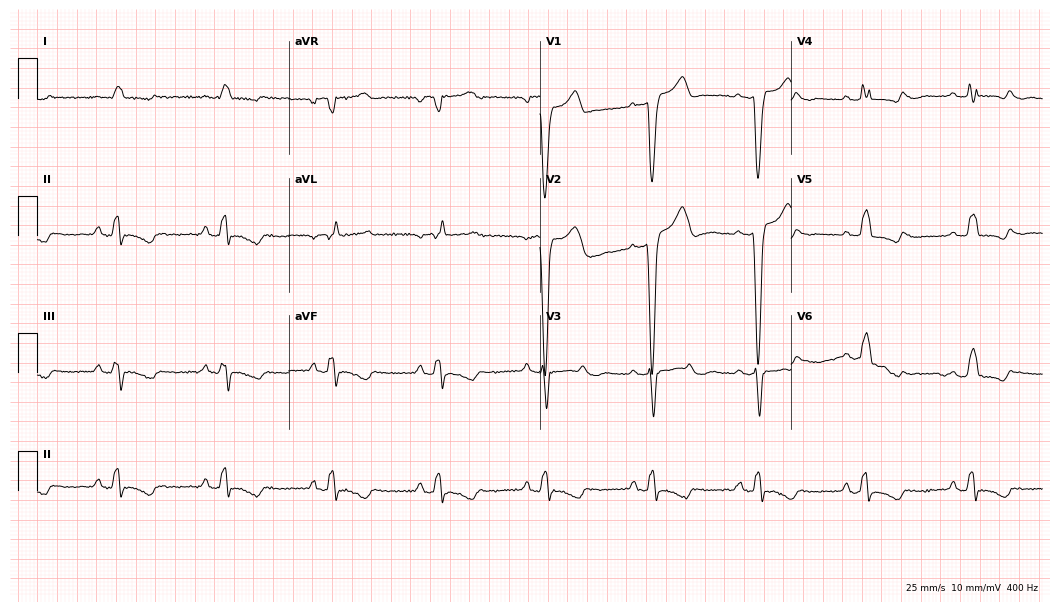
12-lead ECG from a 60-year-old male. Shows left bundle branch block.